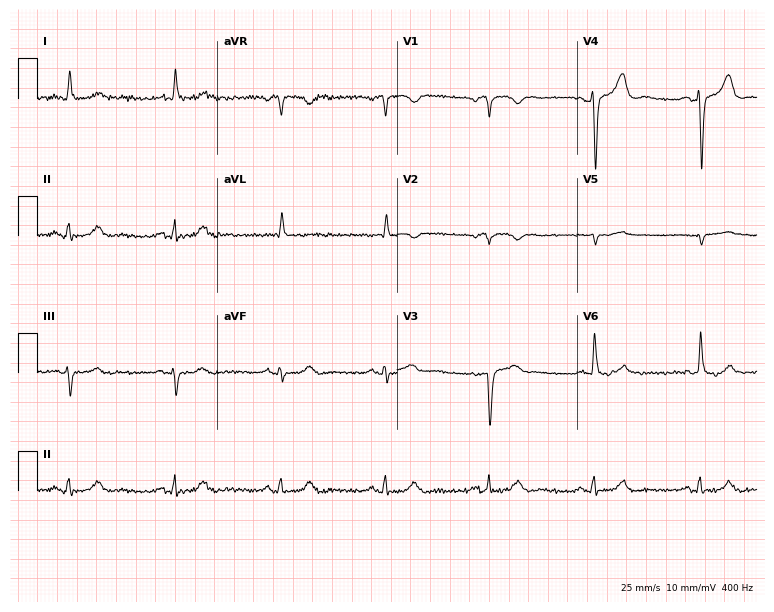
12-lead ECG from a male patient, 80 years old (7.3-second recording at 400 Hz). No first-degree AV block, right bundle branch block, left bundle branch block, sinus bradycardia, atrial fibrillation or sinus tachycardia recorded for this tracing. Findings outside these six are not listed.